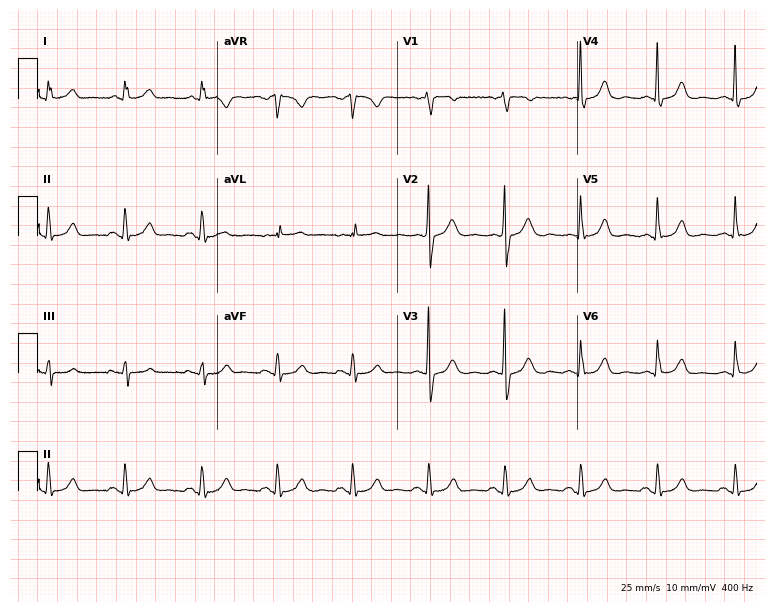
Resting 12-lead electrocardiogram (7.3-second recording at 400 Hz). Patient: a 59-year-old female. Read as a normal ECG.